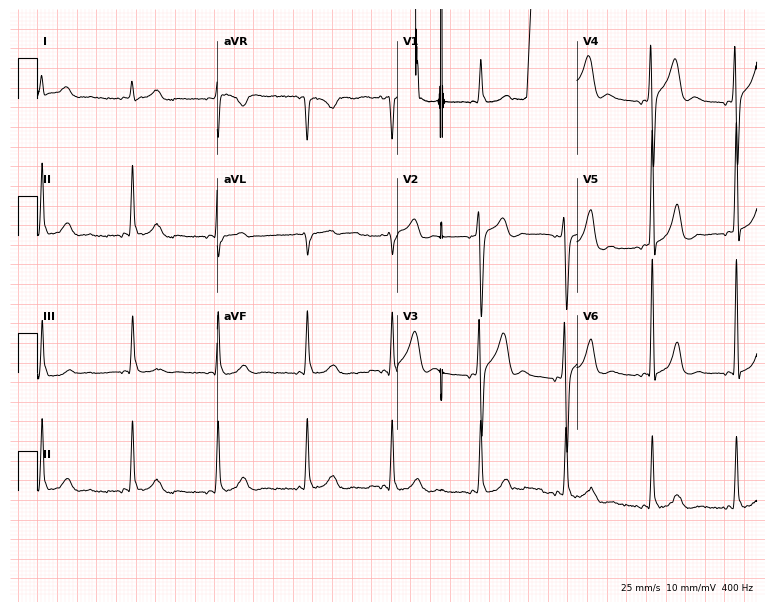
Standard 12-lead ECG recorded from a 22-year-old male. None of these six findings is recorded: first-degree AV block, right bundle branch block, left bundle branch block, sinus bradycardia, atrial fibrillation, sinus tachycardia. Findings outside these six are not listed.